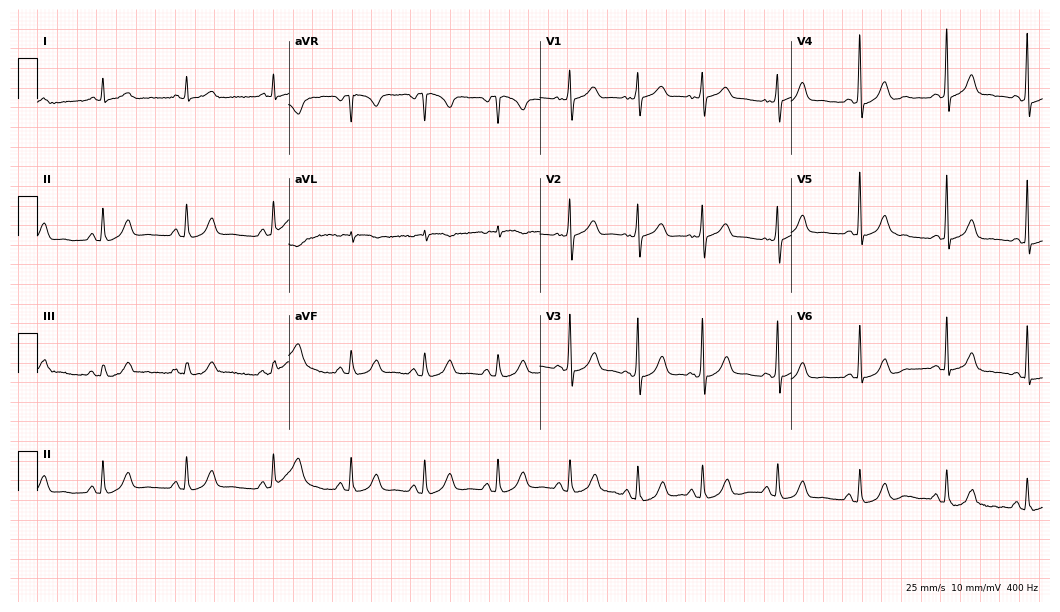
ECG — a woman, 56 years old. Labelled as a normal ECG.